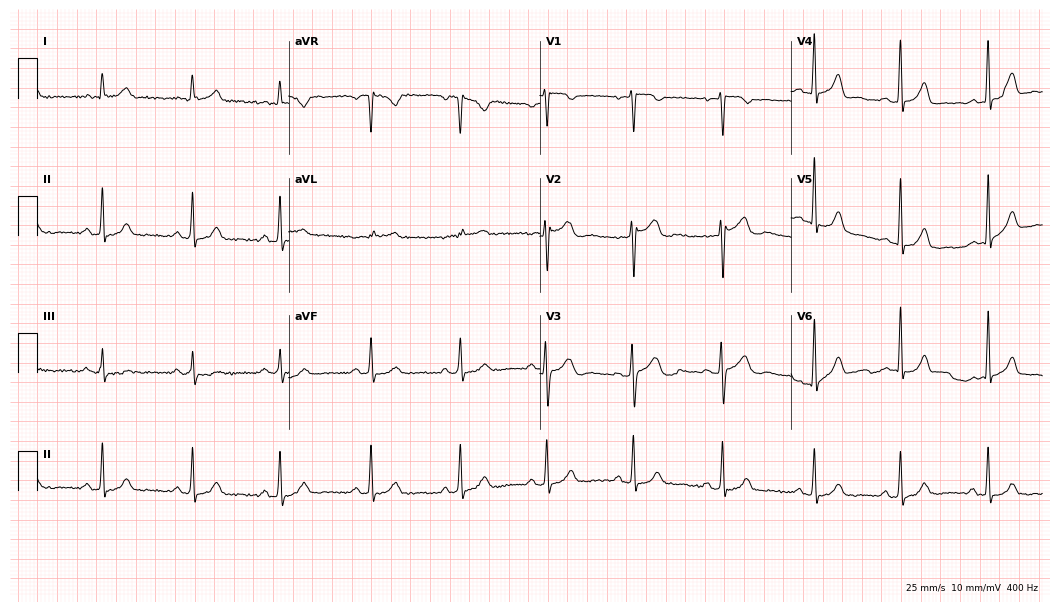
12-lead ECG from a 36-year-old female. Labelled as a normal ECG.